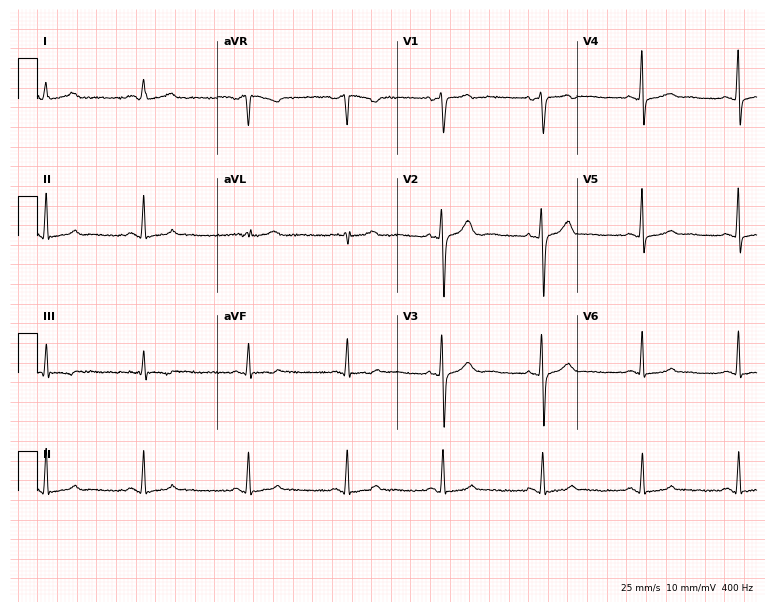
ECG — a female, 28 years old. Labelled as a normal ECG.